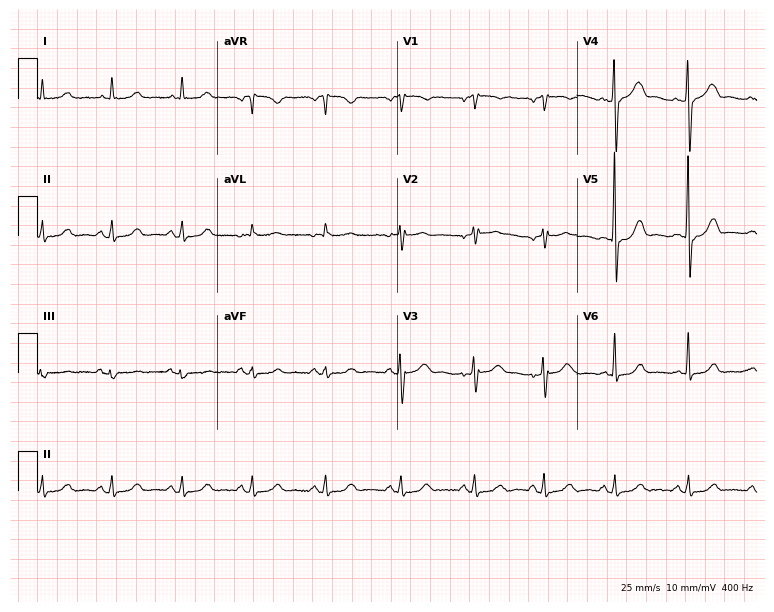
Resting 12-lead electrocardiogram (7.3-second recording at 400 Hz). Patient: a female, 47 years old. Read as a normal ECG.